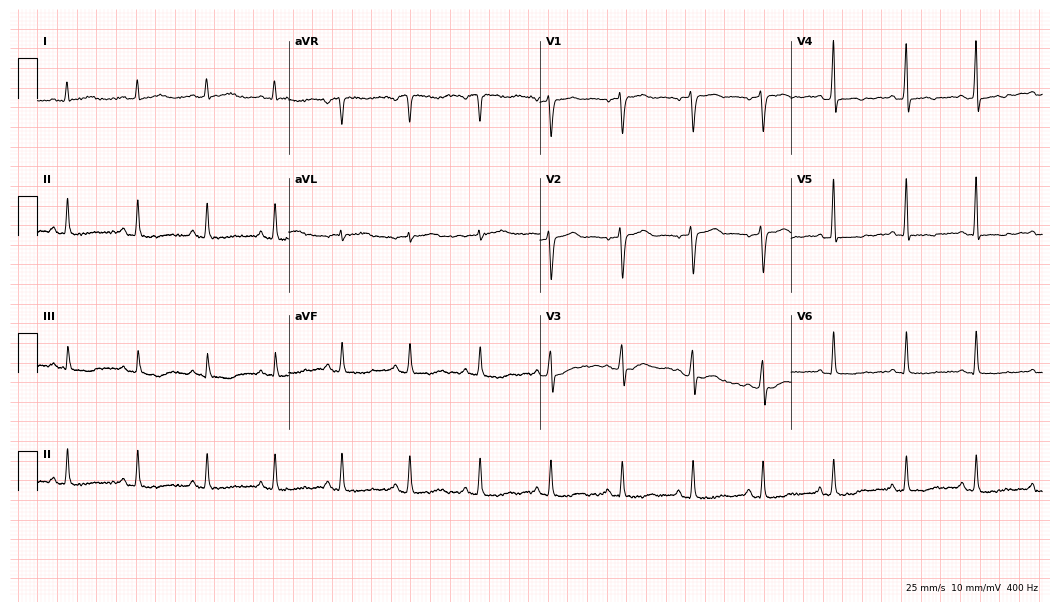
Standard 12-lead ECG recorded from a 67-year-old female. None of these six findings is recorded: first-degree AV block, right bundle branch block (RBBB), left bundle branch block (LBBB), sinus bradycardia, atrial fibrillation (AF), sinus tachycardia.